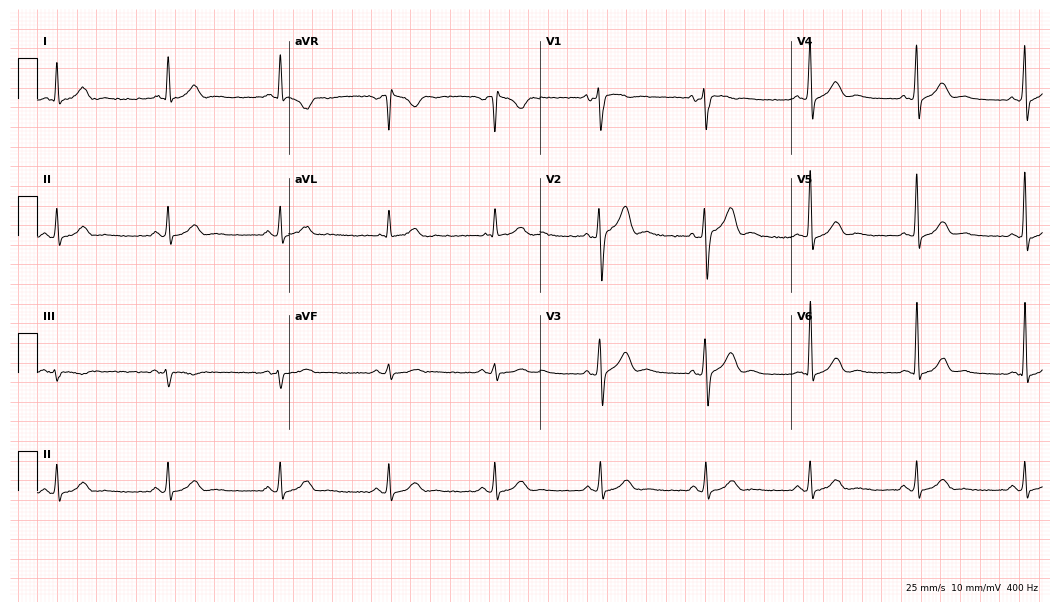
Standard 12-lead ECG recorded from a 55-year-old man (10.2-second recording at 400 Hz). Read as a normal ECG.